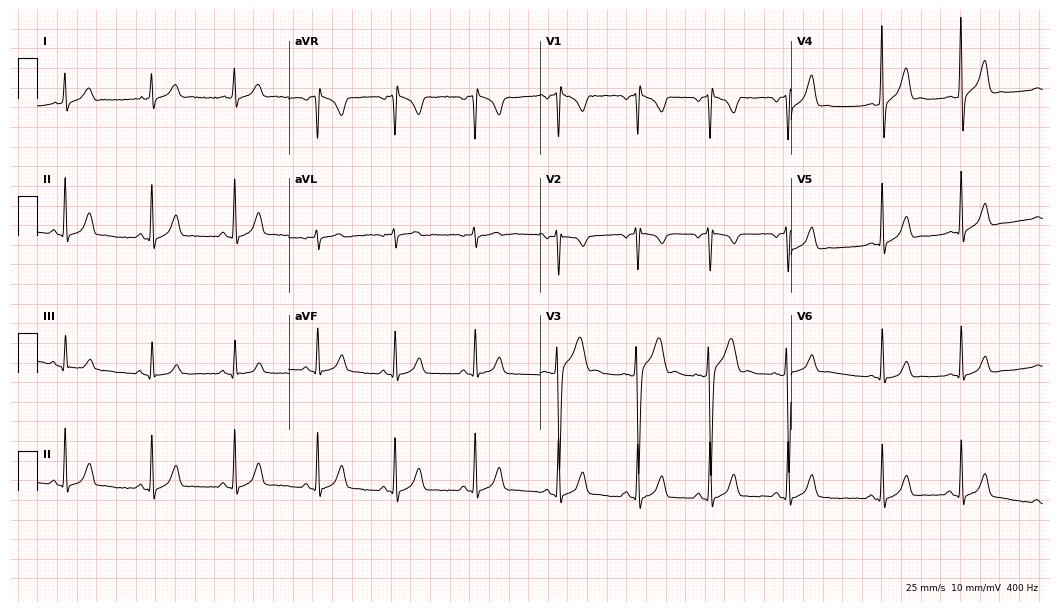
Resting 12-lead electrocardiogram (10.2-second recording at 400 Hz). Patient: a male, 18 years old. Read as a normal ECG.